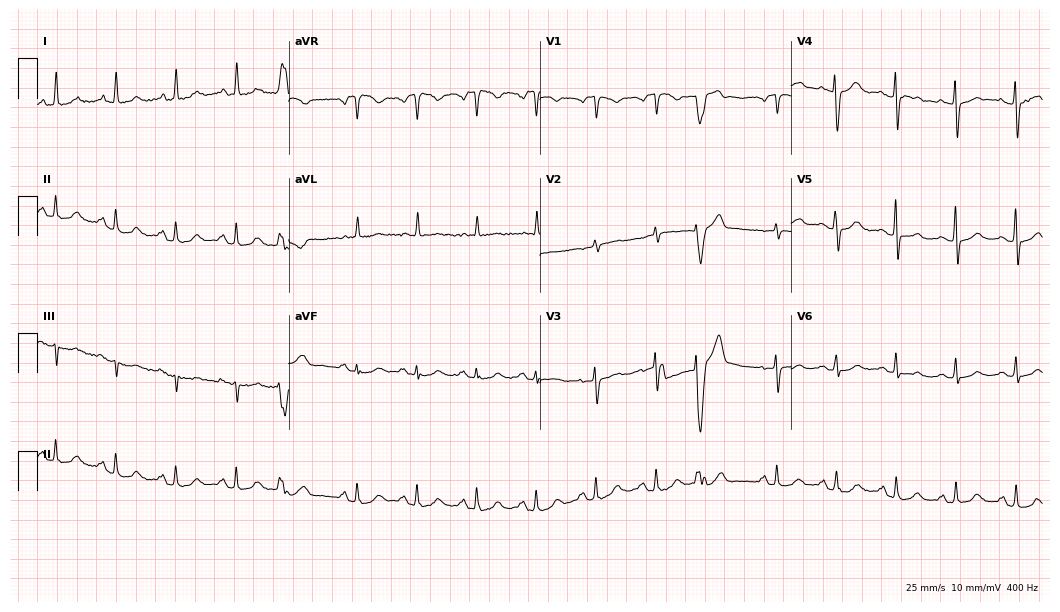
Resting 12-lead electrocardiogram. Patient: a woman, 68 years old. None of these six findings is recorded: first-degree AV block, right bundle branch block (RBBB), left bundle branch block (LBBB), sinus bradycardia, atrial fibrillation (AF), sinus tachycardia.